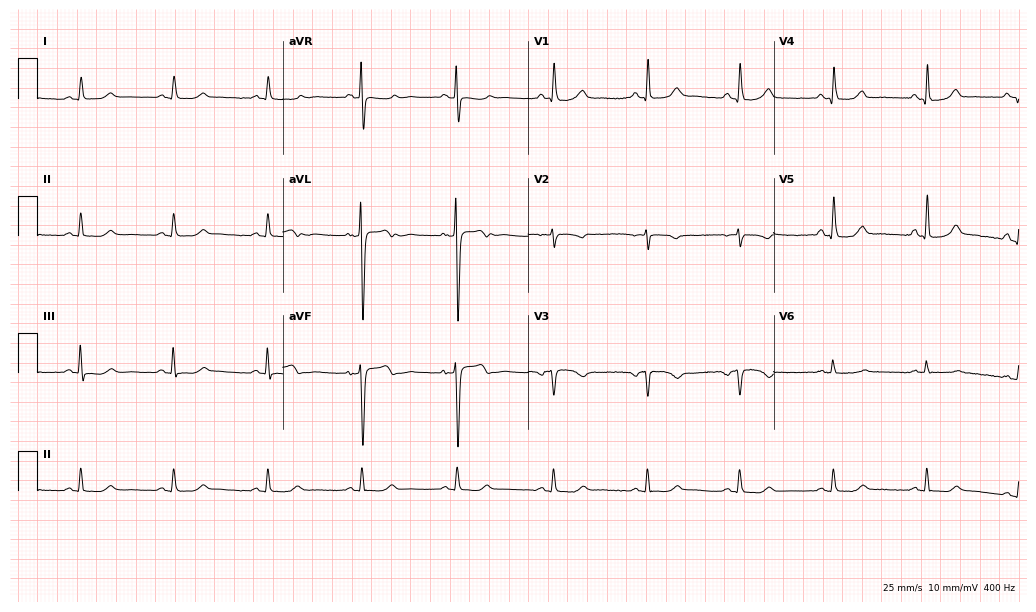
12-lead ECG (10-second recording at 400 Hz) from a female, 60 years old. Screened for six findings — first-degree AV block, right bundle branch block, left bundle branch block, sinus bradycardia, atrial fibrillation, sinus tachycardia — none is recorded.